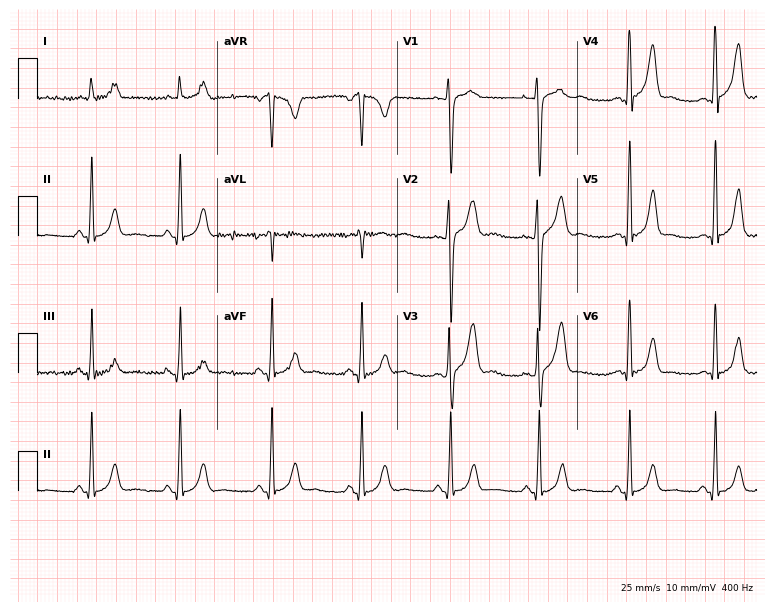
ECG (7.3-second recording at 400 Hz) — a male patient, 27 years old. Labelled as a normal ECG.